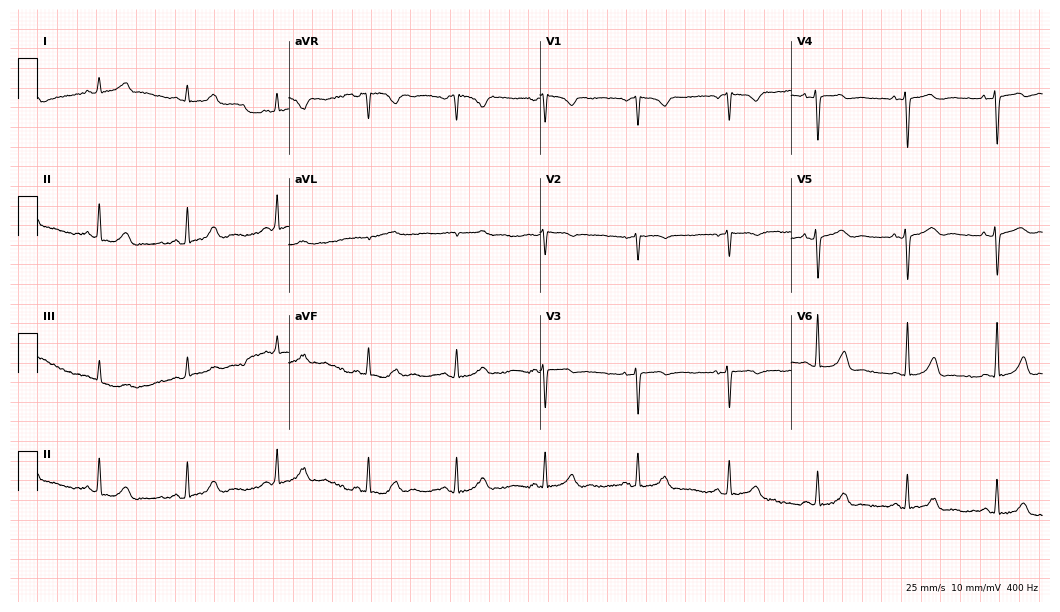
Electrocardiogram, a female patient, 37 years old. Of the six screened findings (first-degree AV block, right bundle branch block (RBBB), left bundle branch block (LBBB), sinus bradycardia, atrial fibrillation (AF), sinus tachycardia), none is recorded.